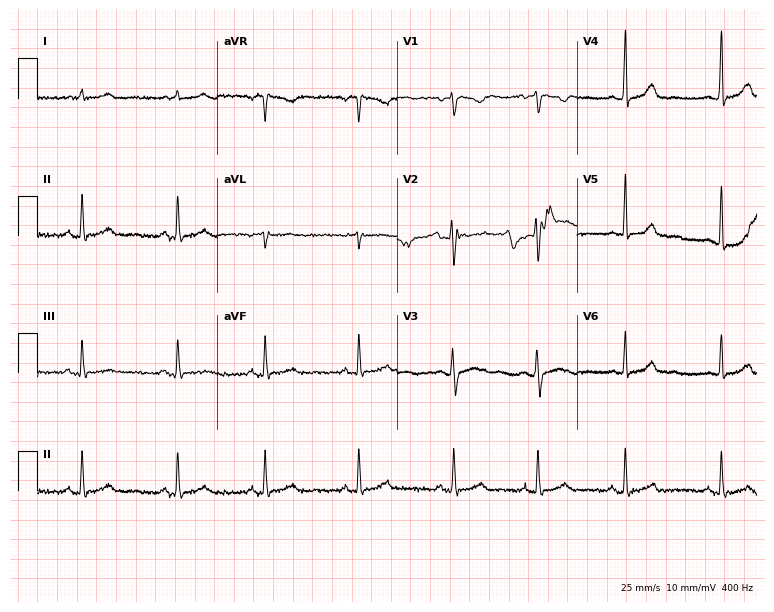
ECG — a 21-year-old female patient. Screened for six findings — first-degree AV block, right bundle branch block, left bundle branch block, sinus bradycardia, atrial fibrillation, sinus tachycardia — none is recorded. Findings outside these six are not listed.